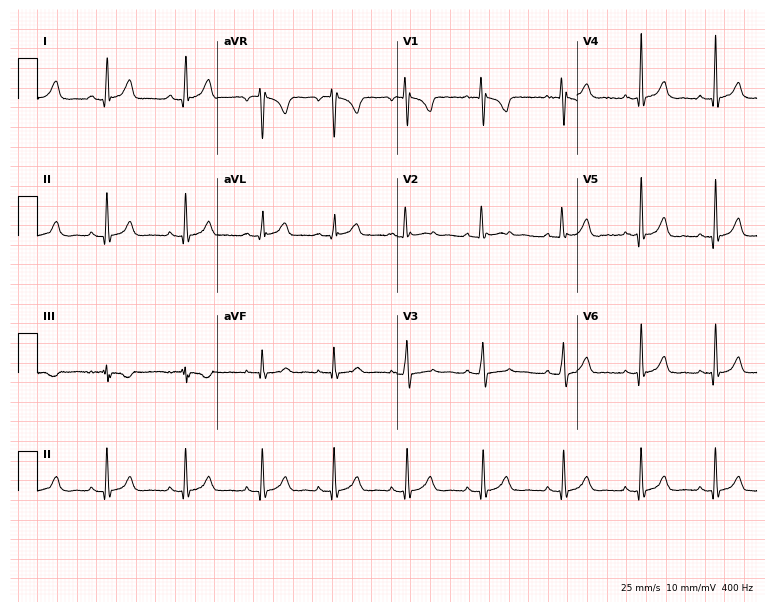
12-lead ECG from a 28-year-old female. Recorded interpretation: within normal limits.